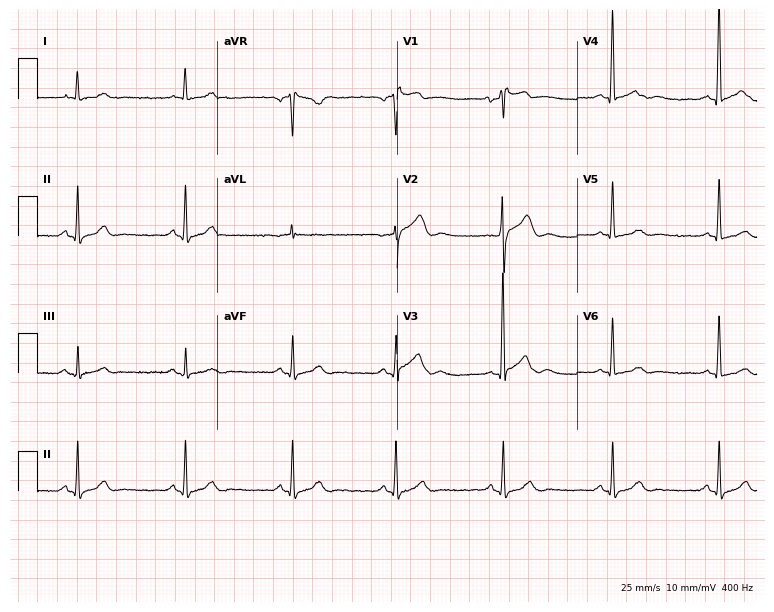
12-lead ECG (7.3-second recording at 400 Hz) from a 78-year-old male. Screened for six findings — first-degree AV block, right bundle branch block, left bundle branch block, sinus bradycardia, atrial fibrillation, sinus tachycardia — none is recorded. Other findings, if any, are not listed.